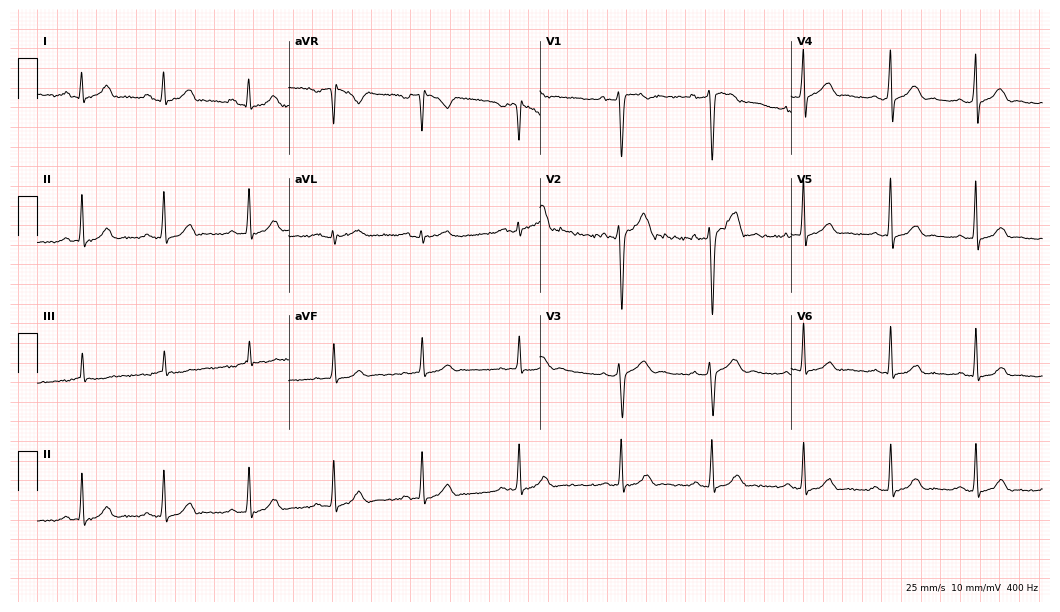
12-lead ECG from a 25-year-old male patient. Recorded interpretation: within normal limits.